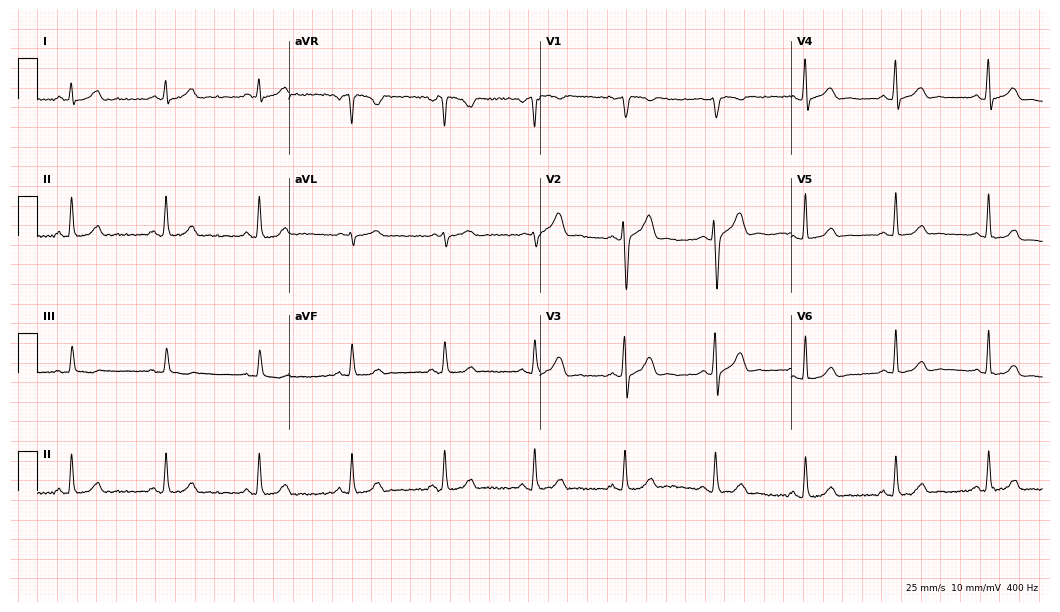
12-lead ECG from a 37-year-old male patient. Labelled as a normal ECG.